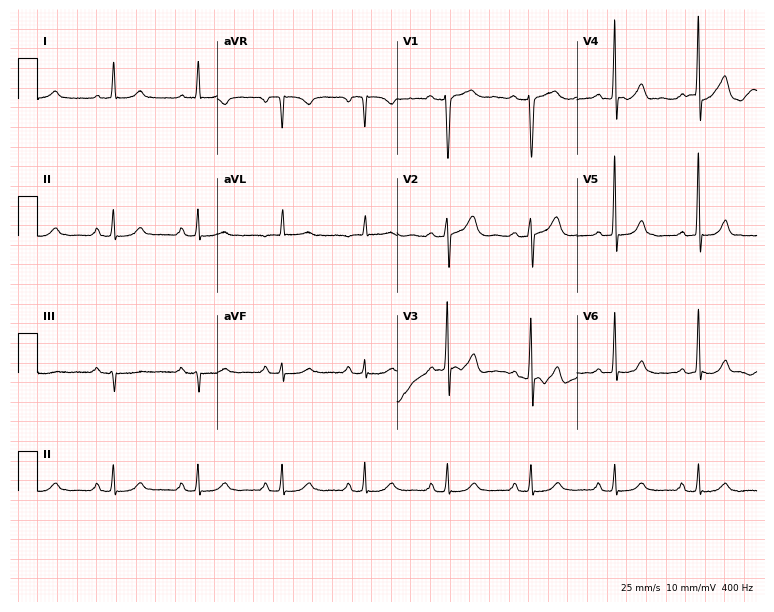
ECG (7.3-second recording at 400 Hz) — a female, 63 years old. Labelled as a normal ECG.